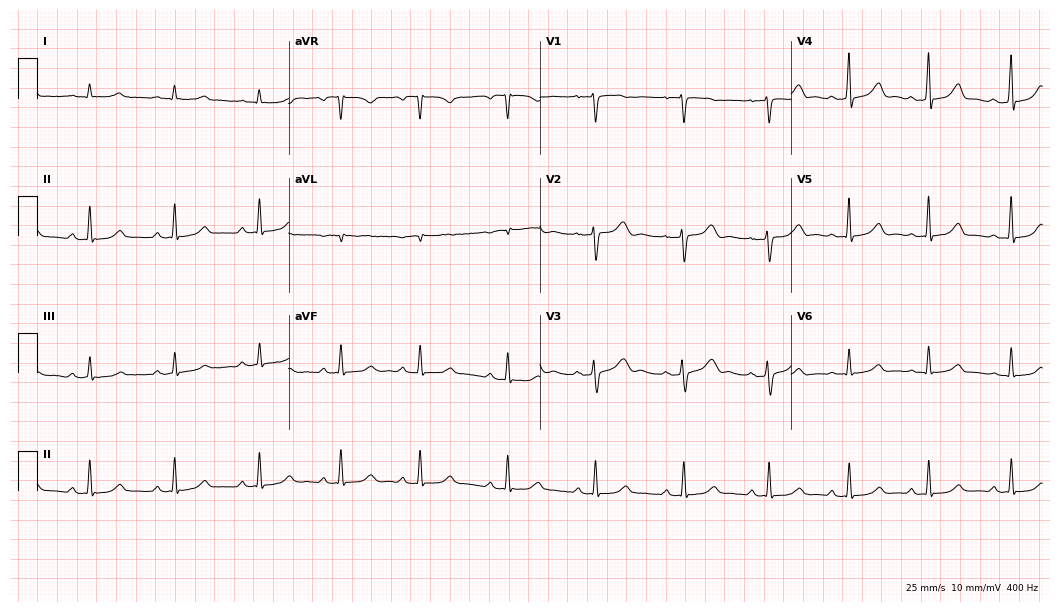
Resting 12-lead electrocardiogram (10.2-second recording at 400 Hz). Patient: a 41-year-old female. Read as a normal ECG.